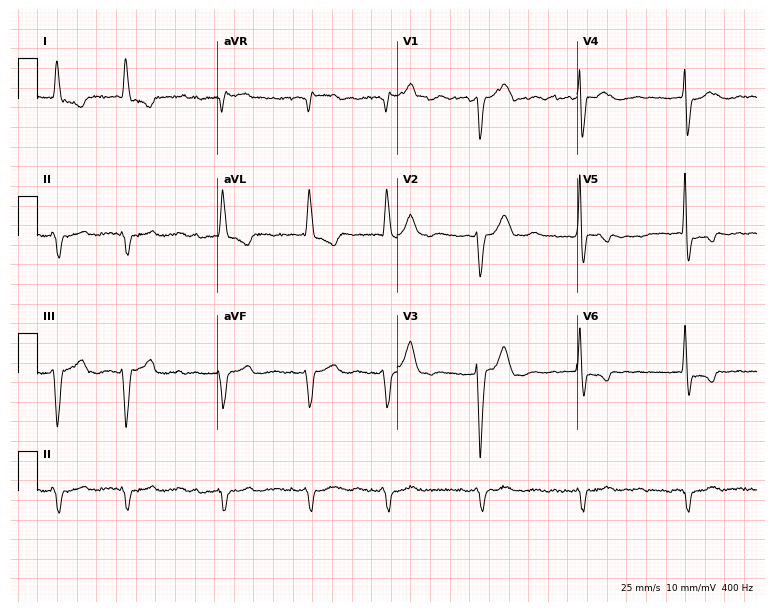
Electrocardiogram (7.3-second recording at 400 Hz), an 80-year-old female patient. Interpretation includes atrial fibrillation (AF).